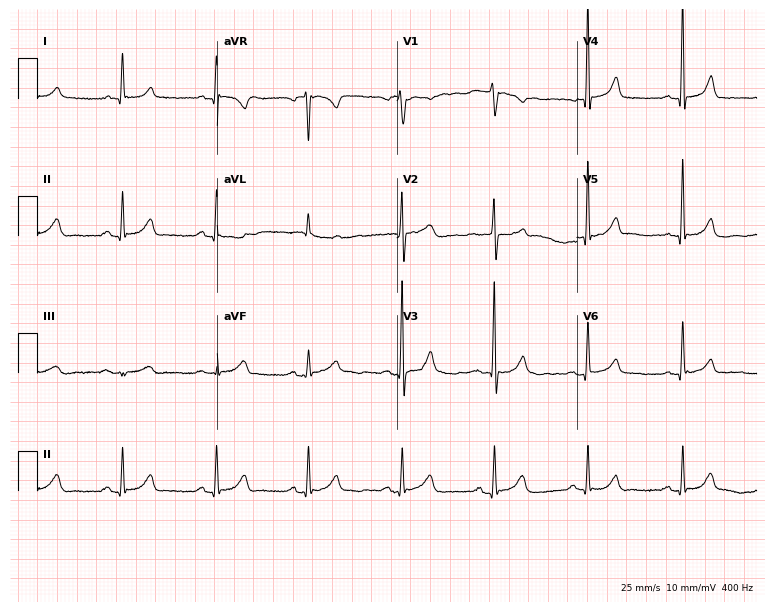
Electrocardiogram, a female patient, 75 years old. Overall reading on record: normal ECG.